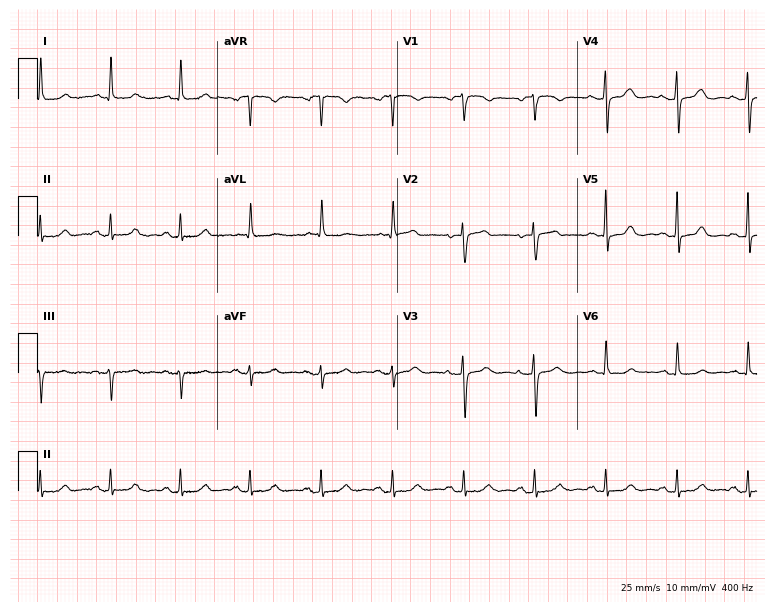
Electrocardiogram (7.3-second recording at 400 Hz), a 61-year-old female. Of the six screened findings (first-degree AV block, right bundle branch block (RBBB), left bundle branch block (LBBB), sinus bradycardia, atrial fibrillation (AF), sinus tachycardia), none is recorded.